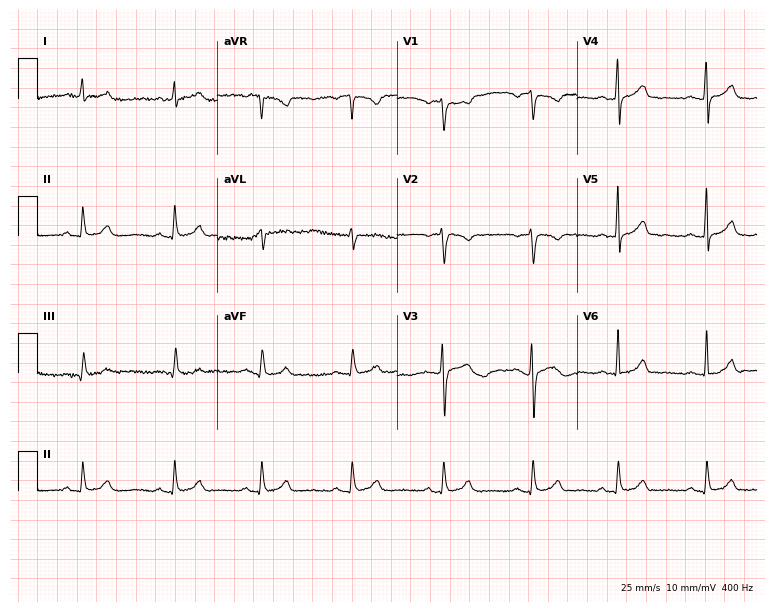
12-lead ECG from a female, 36 years old. Screened for six findings — first-degree AV block, right bundle branch block (RBBB), left bundle branch block (LBBB), sinus bradycardia, atrial fibrillation (AF), sinus tachycardia — none is recorded. Only these six findings were labelled.